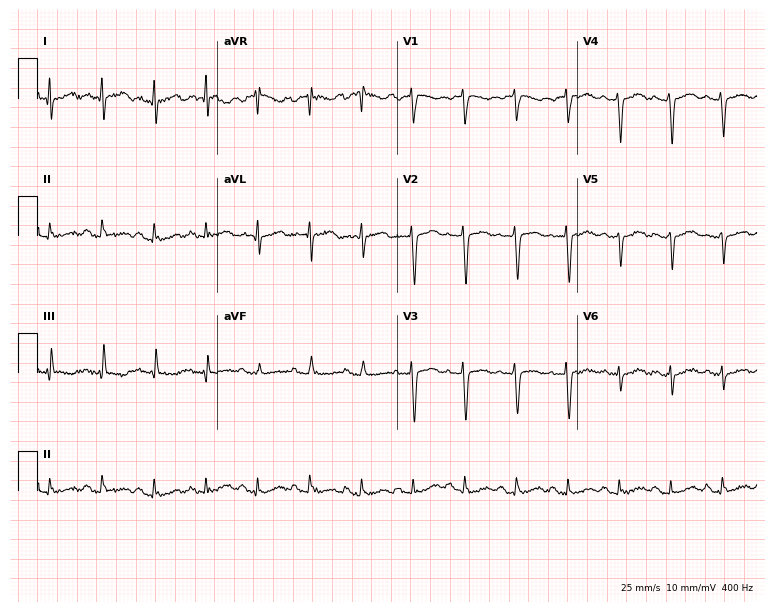
Standard 12-lead ECG recorded from a 42-year-old female (7.3-second recording at 400 Hz). None of these six findings is recorded: first-degree AV block, right bundle branch block, left bundle branch block, sinus bradycardia, atrial fibrillation, sinus tachycardia. Findings outside these six are not listed.